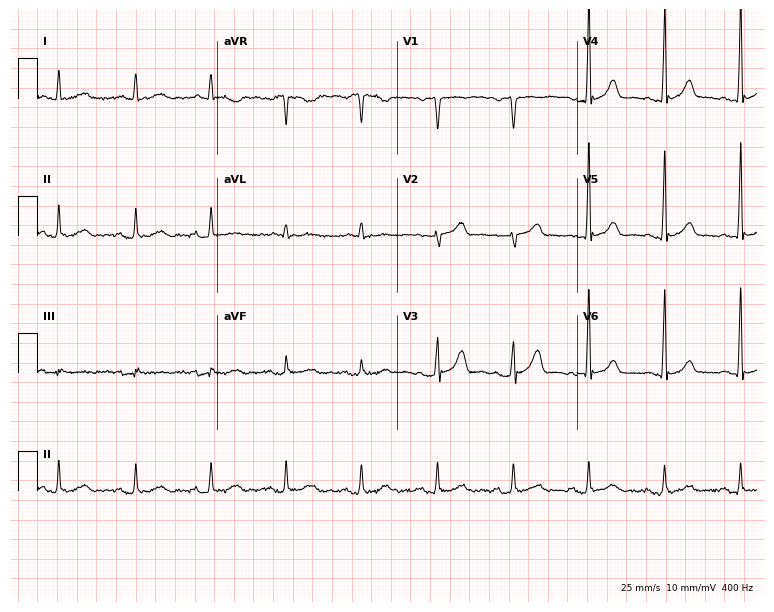
Standard 12-lead ECG recorded from a male patient, 71 years old. None of these six findings is recorded: first-degree AV block, right bundle branch block (RBBB), left bundle branch block (LBBB), sinus bradycardia, atrial fibrillation (AF), sinus tachycardia. Findings outside these six are not listed.